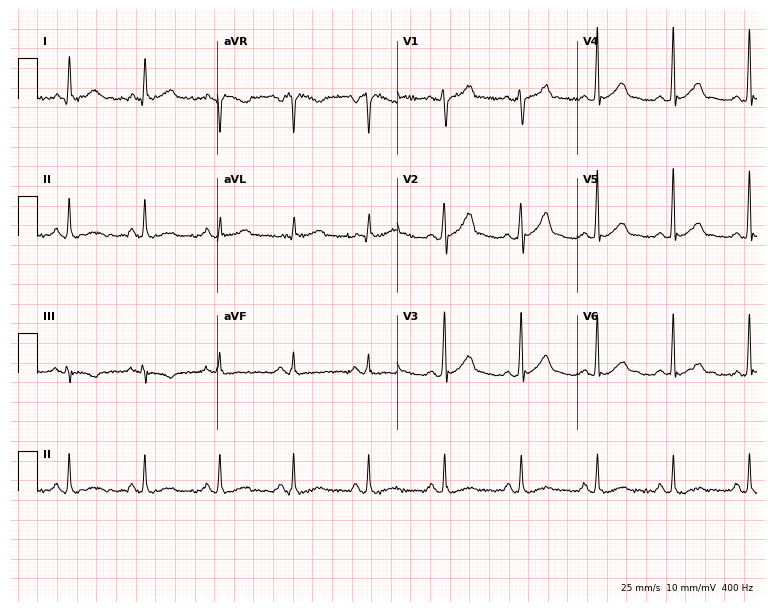
ECG (7.3-second recording at 400 Hz) — a male patient, 39 years old. Screened for six findings — first-degree AV block, right bundle branch block, left bundle branch block, sinus bradycardia, atrial fibrillation, sinus tachycardia — none is recorded. Other findings, if any, are not listed.